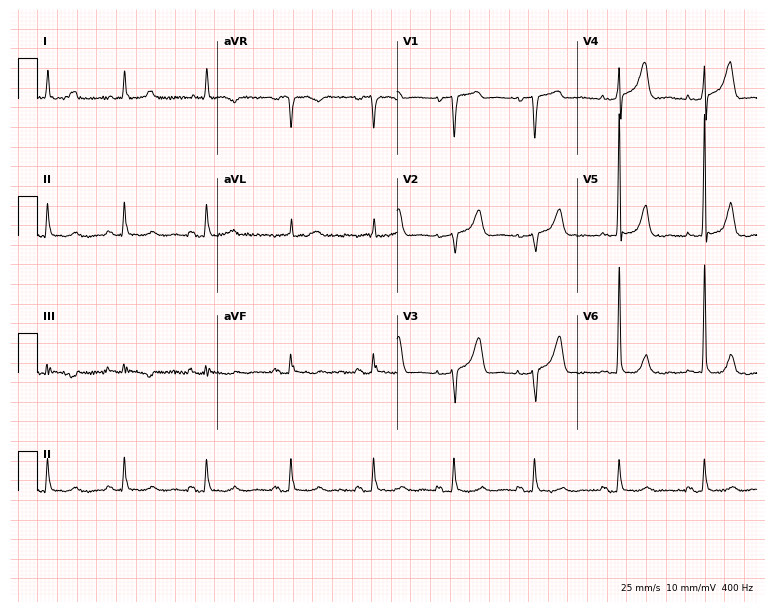
ECG (7.3-second recording at 400 Hz) — a woman, 85 years old. Screened for six findings — first-degree AV block, right bundle branch block, left bundle branch block, sinus bradycardia, atrial fibrillation, sinus tachycardia — none is recorded.